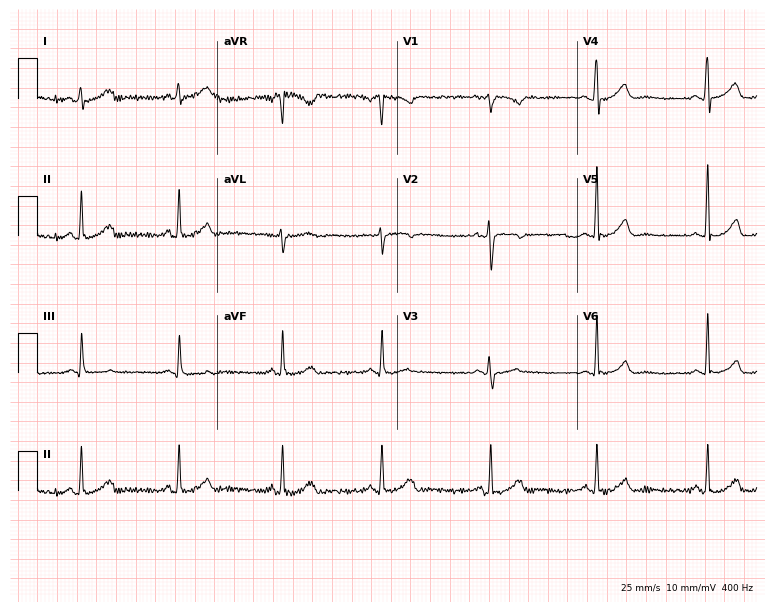
12-lead ECG from a 28-year-old woman. Screened for six findings — first-degree AV block, right bundle branch block (RBBB), left bundle branch block (LBBB), sinus bradycardia, atrial fibrillation (AF), sinus tachycardia — none is recorded.